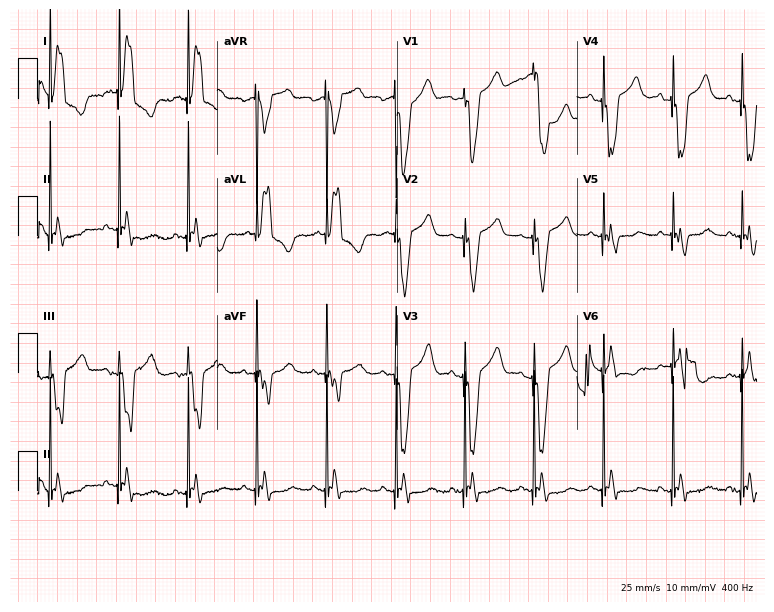
12-lead ECG from an 85-year-old female. Screened for six findings — first-degree AV block, right bundle branch block, left bundle branch block, sinus bradycardia, atrial fibrillation, sinus tachycardia — none is recorded. Other findings, if any, are not listed.